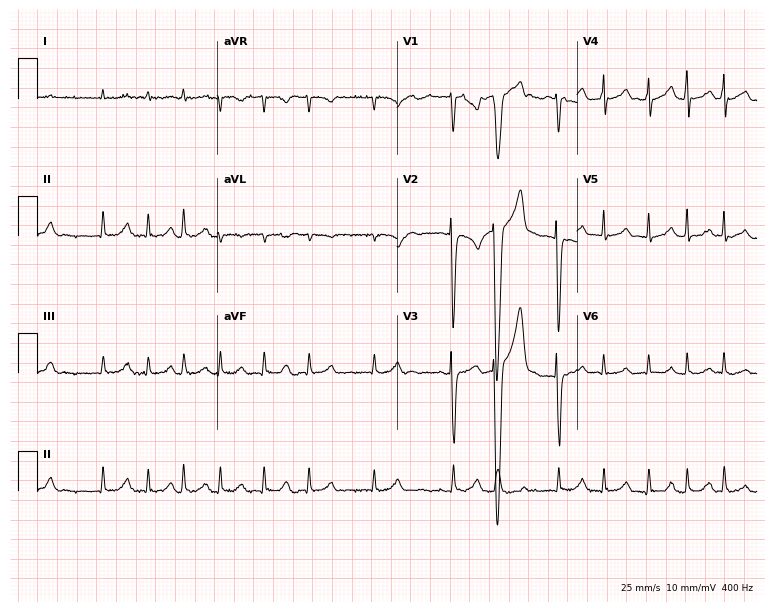
Standard 12-lead ECG recorded from a male patient, 86 years old (7.3-second recording at 400 Hz). The tracing shows atrial fibrillation (AF), sinus tachycardia (a sinus rate of 100 beats per minute or more).